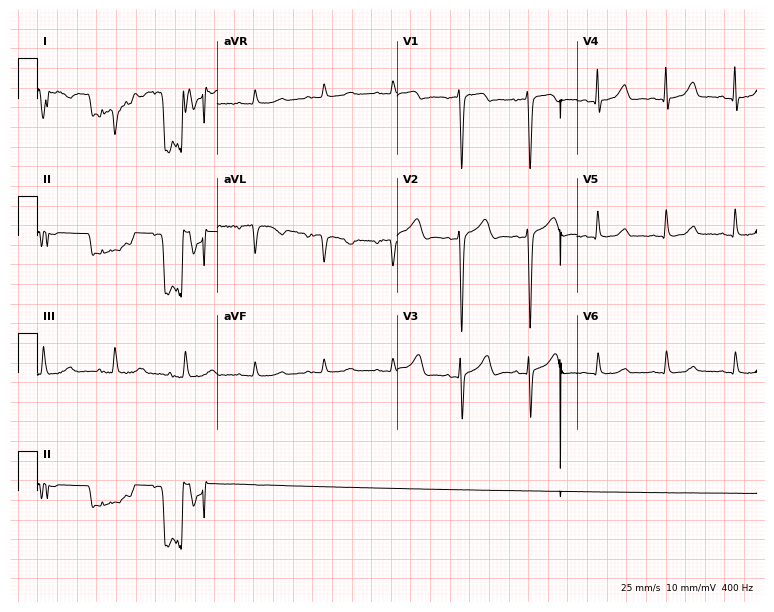
Resting 12-lead electrocardiogram (7.3-second recording at 400 Hz). Patient: a 71-year-old female. None of these six findings is recorded: first-degree AV block, right bundle branch block, left bundle branch block, sinus bradycardia, atrial fibrillation, sinus tachycardia. Findings outside these six are not listed.